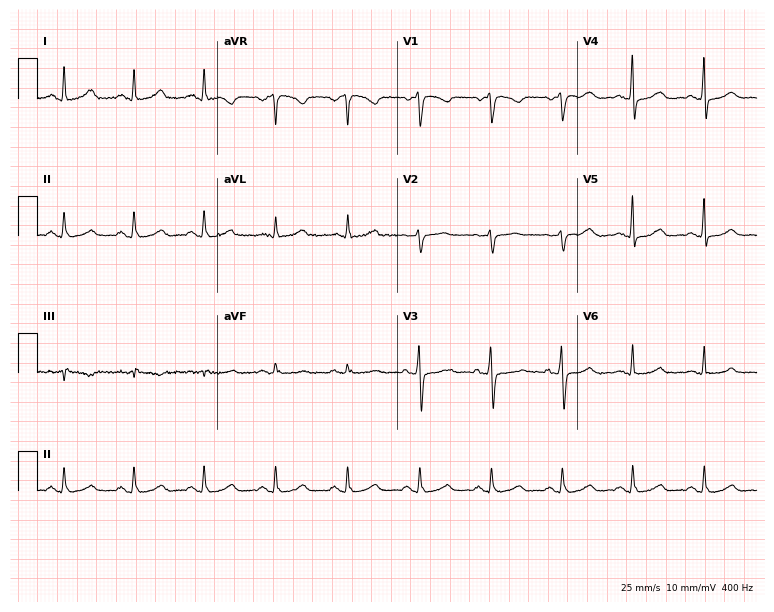
ECG — a woman, 49 years old. Labelled as a normal ECG.